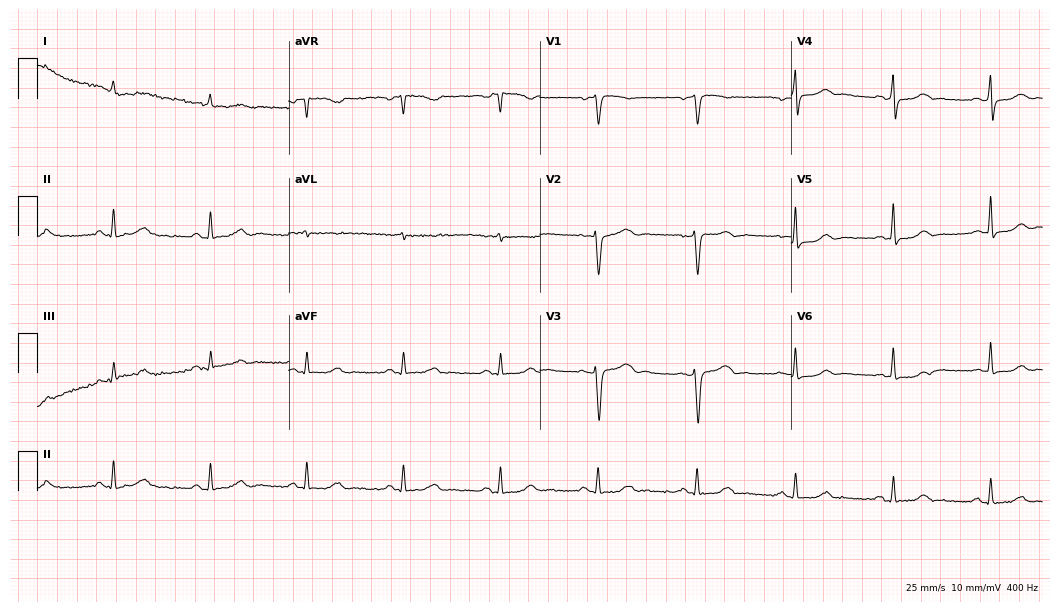
Standard 12-lead ECG recorded from a 72-year-old woman. None of these six findings is recorded: first-degree AV block, right bundle branch block, left bundle branch block, sinus bradycardia, atrial fibrillation, sinus tachycardia.